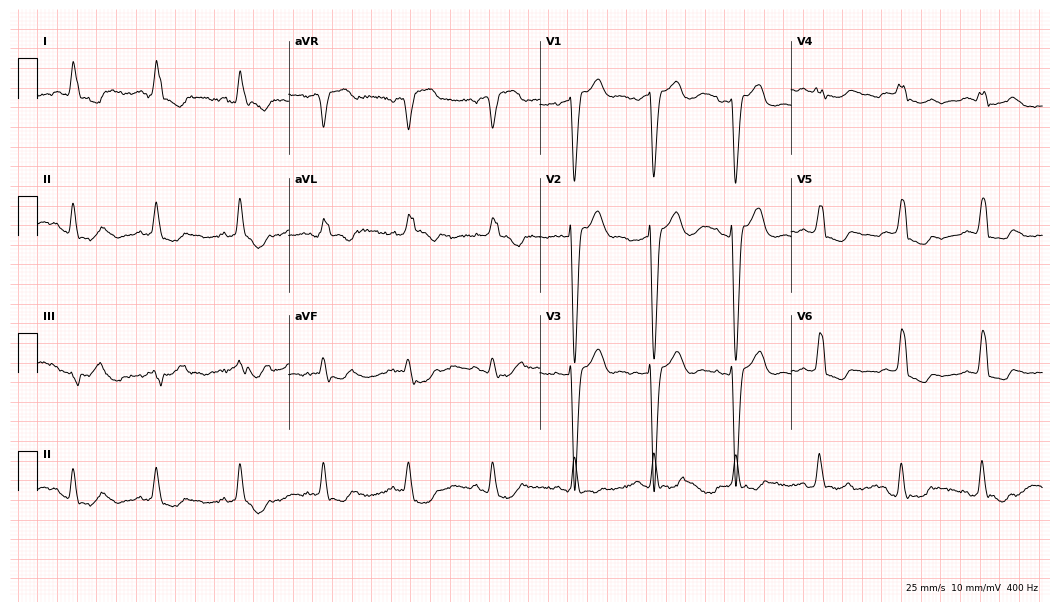
ECG — a woman, 75 years old. Findings include left bundle branch block.